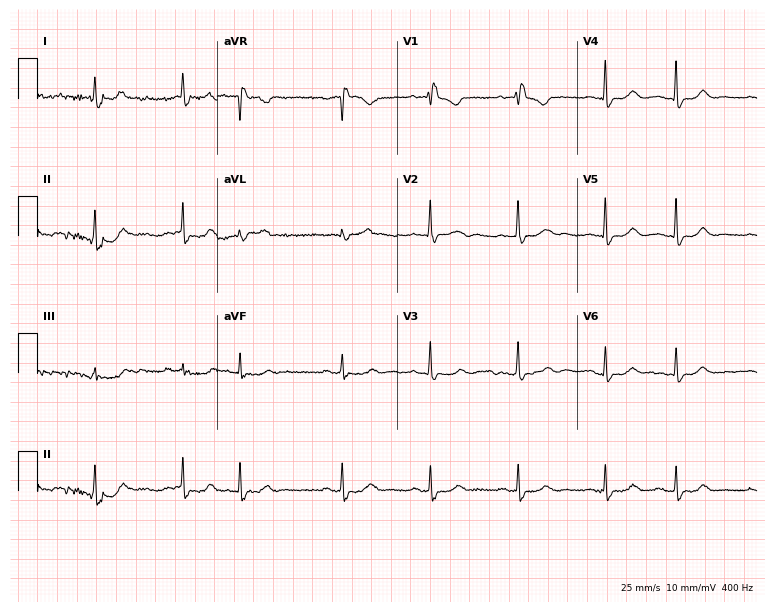
ECG (7.3-second recording at 400 Hz) — a 68-year-old woman. Findings include right bundle branch block.